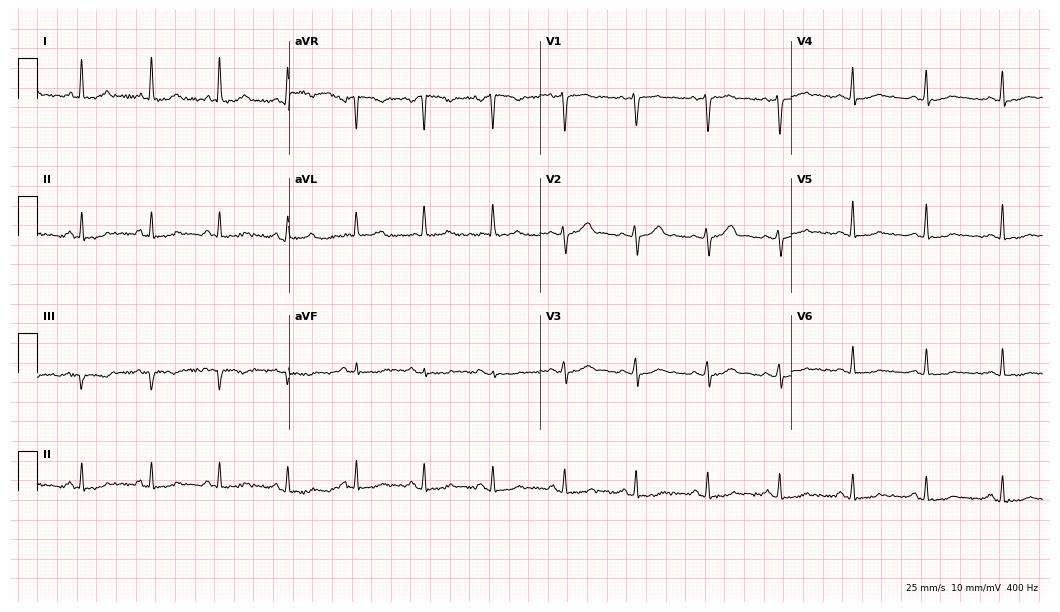
Resting 12-lead electrocardiogram (10.2-second recording at 400 Hz). Patient: a 49-year-old woman. None of these six findings is recorded: first-degree AV block, right bundle branch block, left bundle branch block, sinus bradycardia, atrial fibrillation, sinus tachycardia.